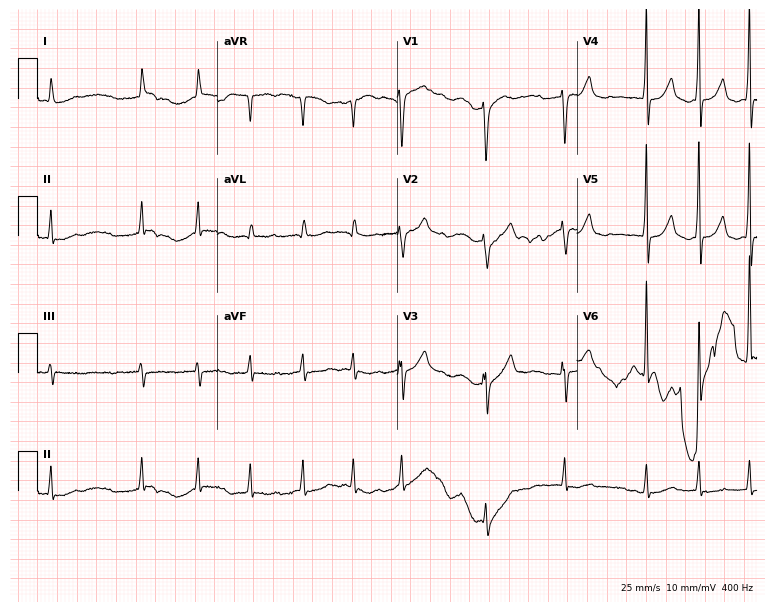
Resting 12-lead electrocardiogram (7.3-second recording at 400 Hz). Patient: a man, 85 years old. The tracing shows atrial fibrillation (AF).